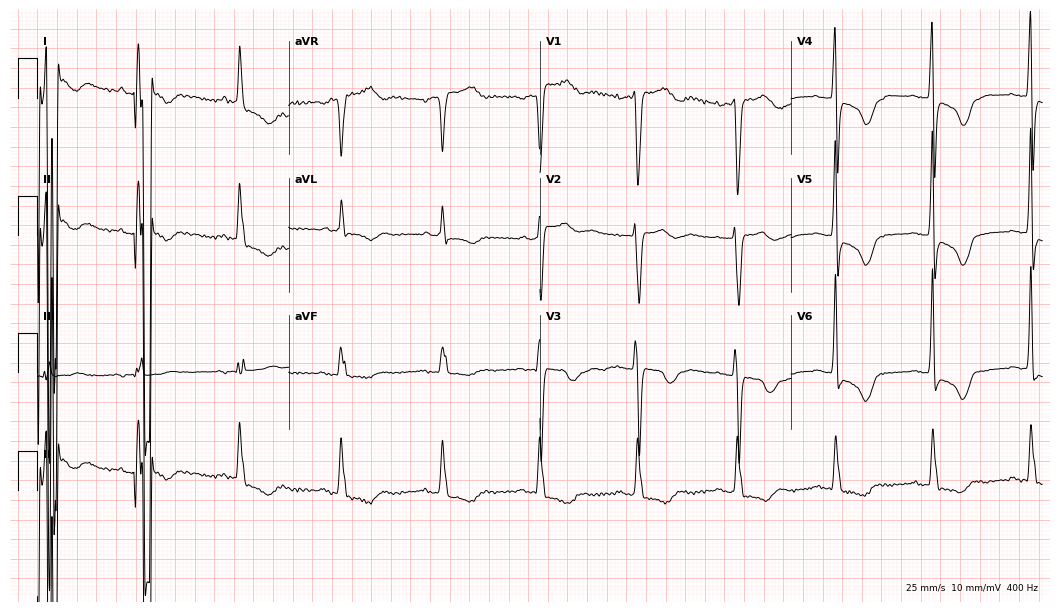
12-lead ECG from a female, 82 years old. Screened for six findings — first-degree AV block, right bundle branch block, left bundle branch block, sinus bradycardia, atrial fibrillation, sinus tachycardia — none is recorded. Other findings, if any, are not listed.